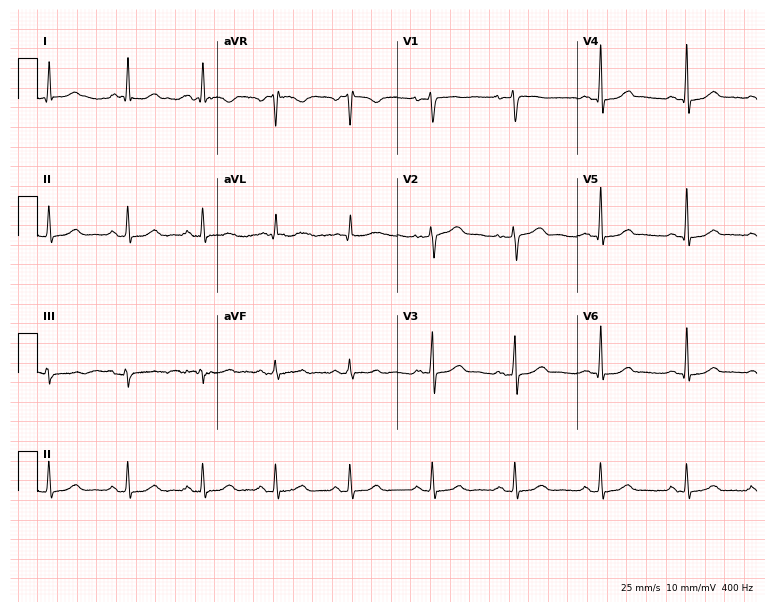
Resting 12-lead electrocardiogram. Patient: a 34-year-old female. None of these six findings is recorded: first-degree AV block, right bundle branch block, left bundle branch block, sinus bradycardia, atrial fibrillation, sinus tachycardia.